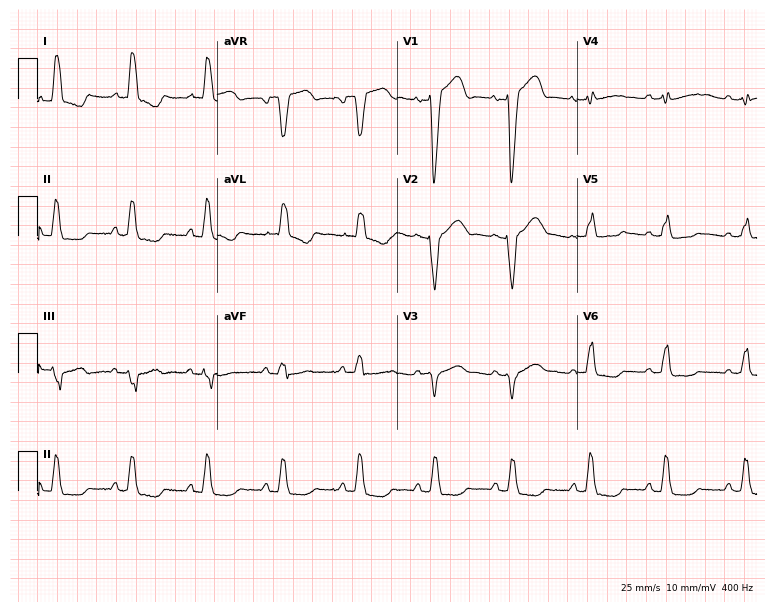
ECG — a female, 79 years old. Findings include left bundle branch block.